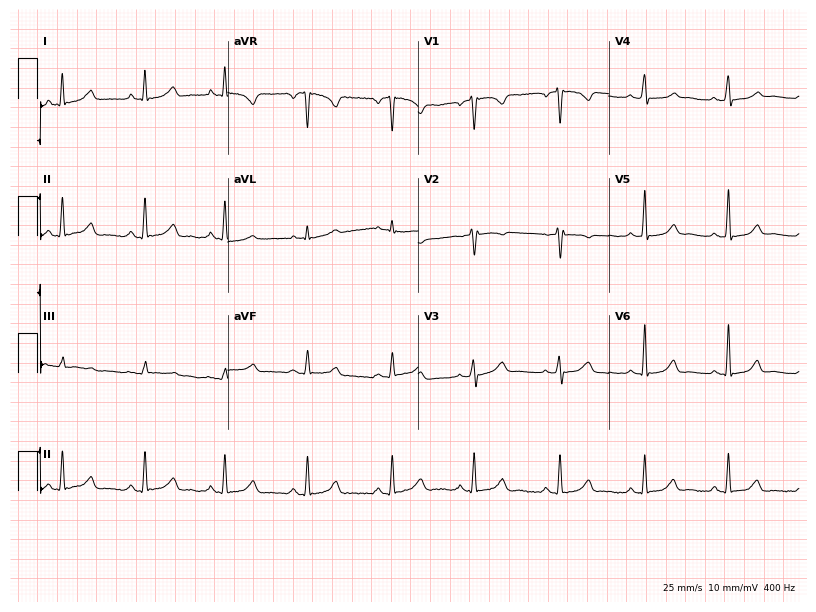
Electrocardiogram, a female patient, 37 years old. Overall reading on record: normal ECG.